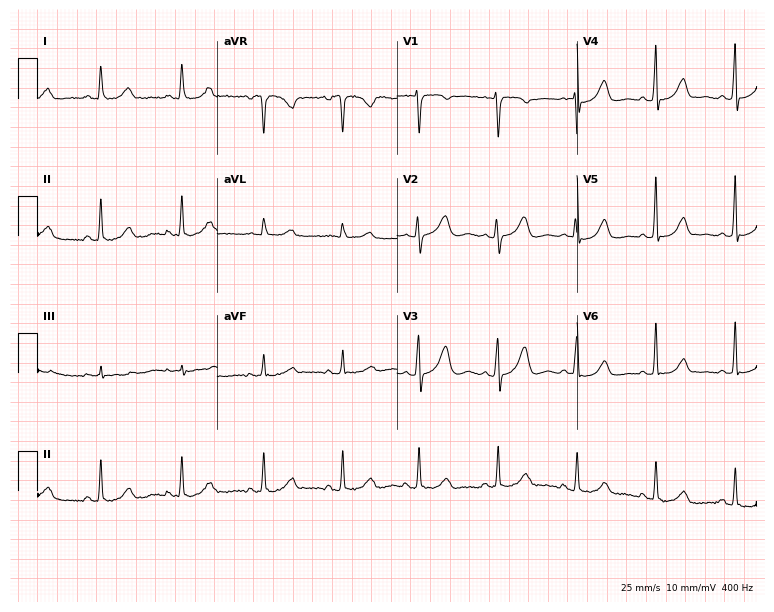
Electrocardiogram, a woman, 57 years old. Of the six screened findings (first-degree AV block, right bundle branch block (RBBB), left bundle branch block (LBBB), sinus bradycardia, atrial fibrillation (AF), sinus tachycardia), none is recorded. Other findings, if any, are not listed.